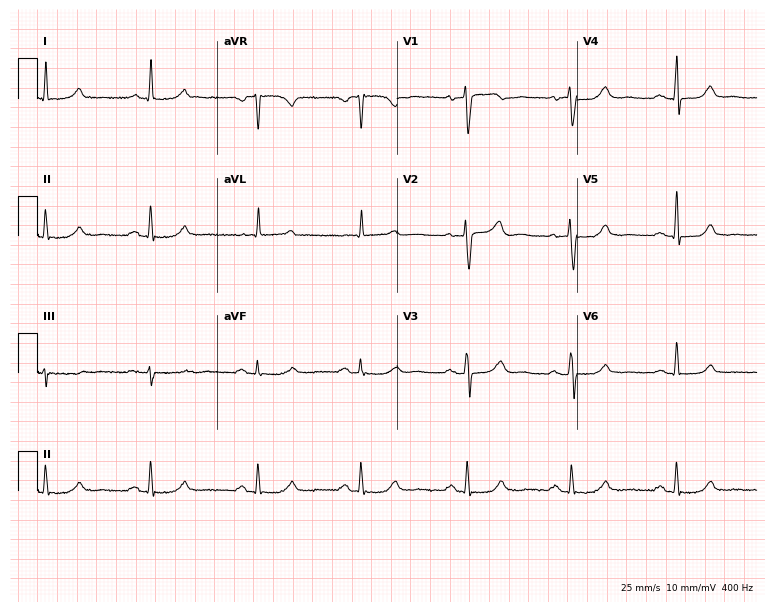
12-lead ECG (7.3-second recording at 400 Hz) from a female, 70 years old. Labelled as a normal ECG.